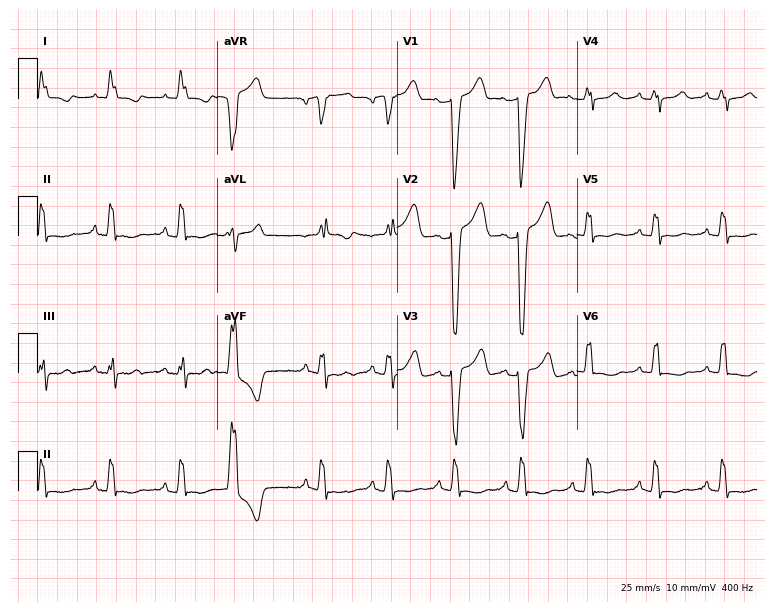
Standard 12-lead ECG recorded from a female patient, 77 years old. None of these six findings is recorded: first-degree AV block, right bundle branch block, left bundle branch block, sinus bradycardia, atrial fibrillation, sinus tachycardia. Other findings, if any, are not listed.